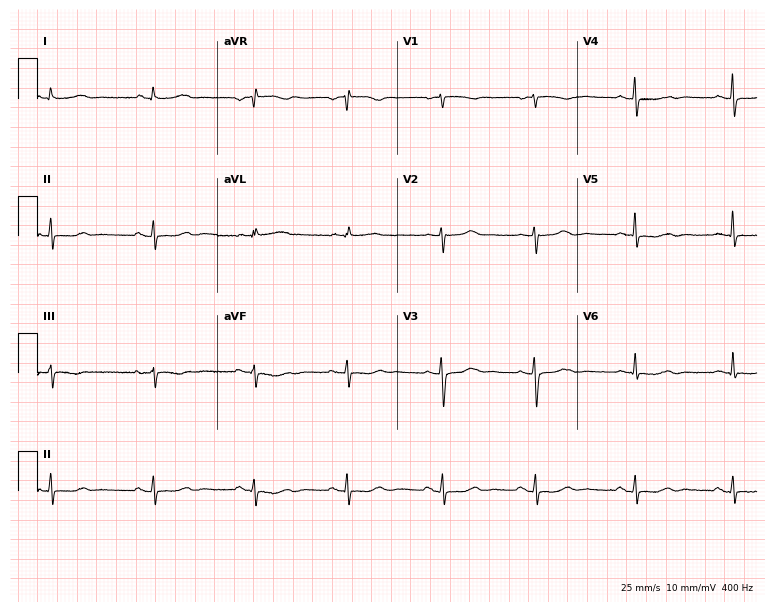
12-lead ECG from a 55-year-old female patient. Screened for six findings — first-degree AV block, right bundle branch block (RBBB), left bundle branch block (LBBB), sinus bradycardia, atrial fibrillation (AF), sinus tachycardia — none is recorded.